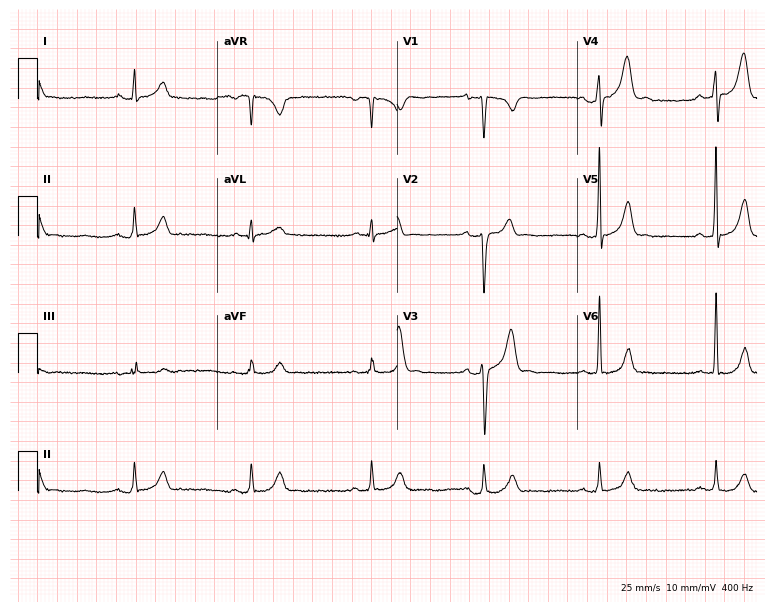
12-lead ECG from a 41-year-old male patient. Recorded interpretation: within normal limits.